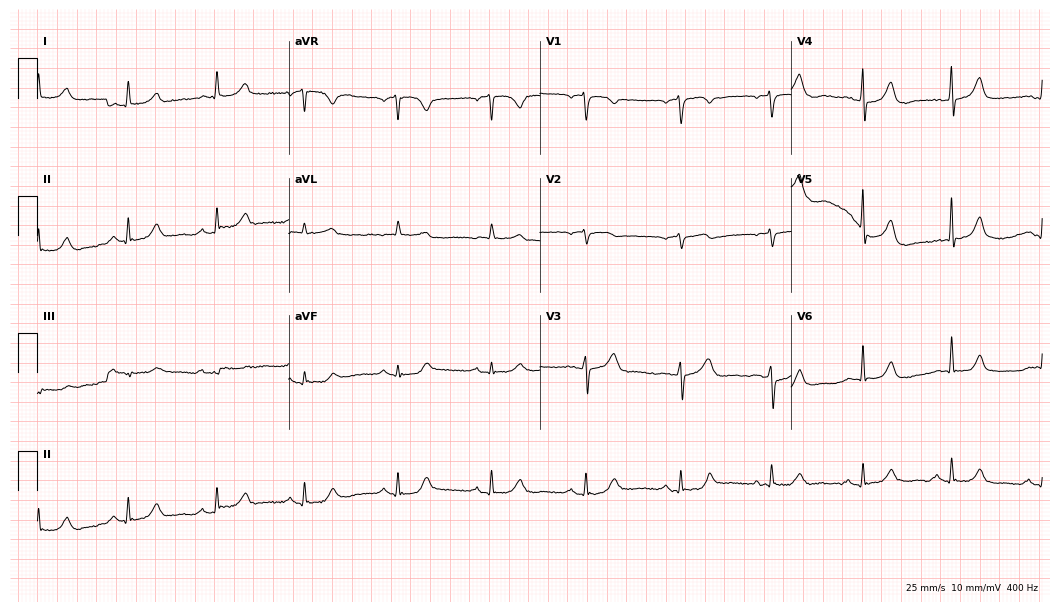
Resting 12-lead electrocardiogram. Patient: a 60-year-old female. Read as a normal ECG.